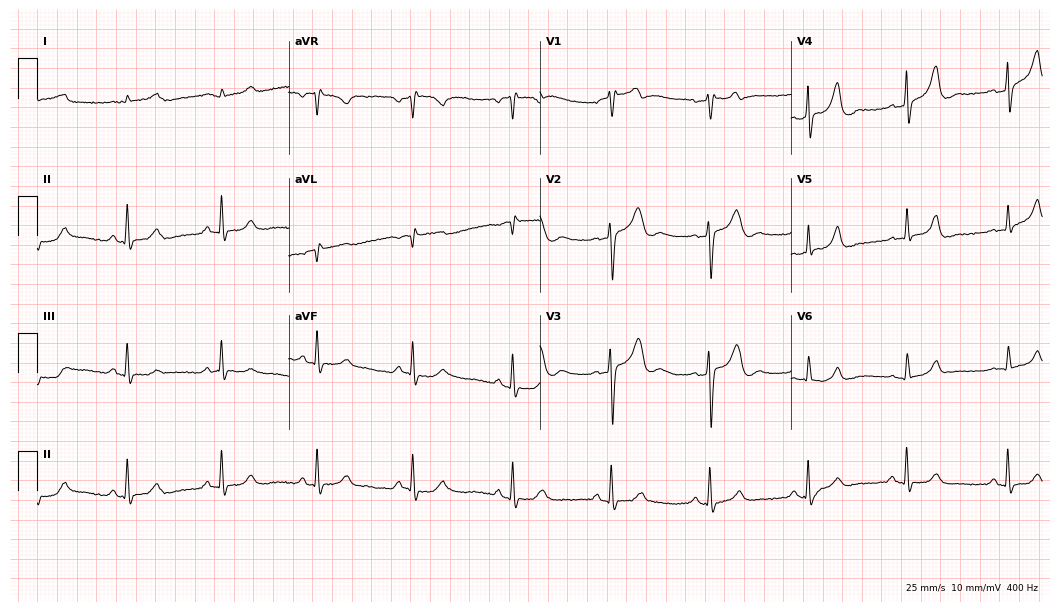
ECG (10.2-second recording at 400 Hz) — an 83-year-old male patient. Labelled as a normal ECG.